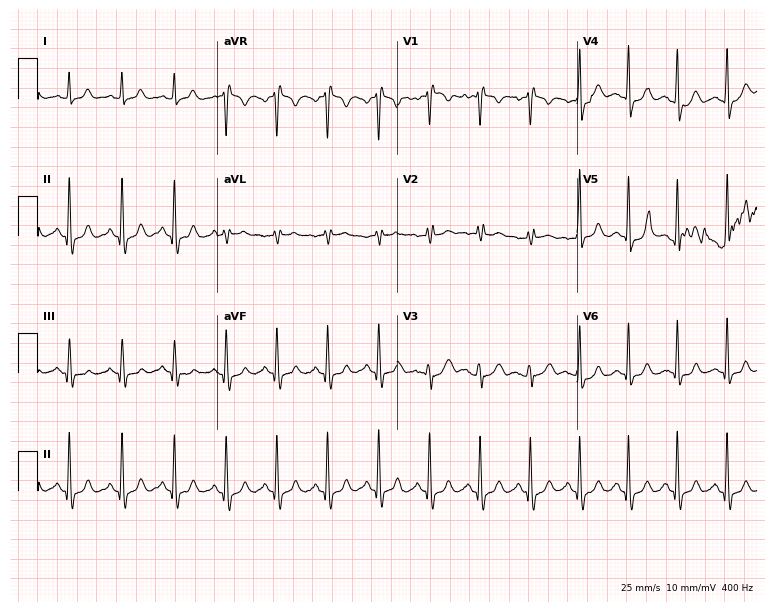
12-lead ECG from a 21-year-old woman (7.3-second recording at 400 Hz). Shows sinus tachycardia (a sinus rate of 100 beats per minute or more).